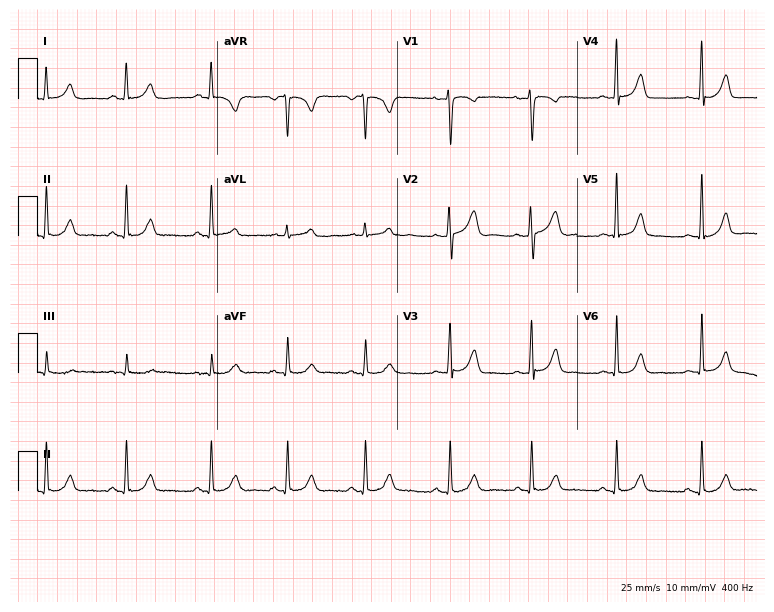
ECG — a 32-year-old woman. Labelled as a normal ECG.